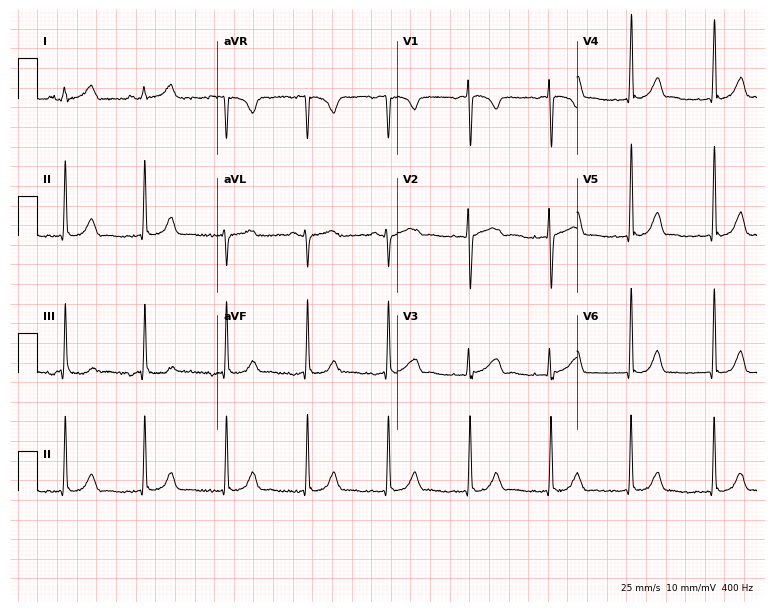
Resting 12-lead electrocardiogram. Patient: a female, 20 years old. Read as a normal ECG.